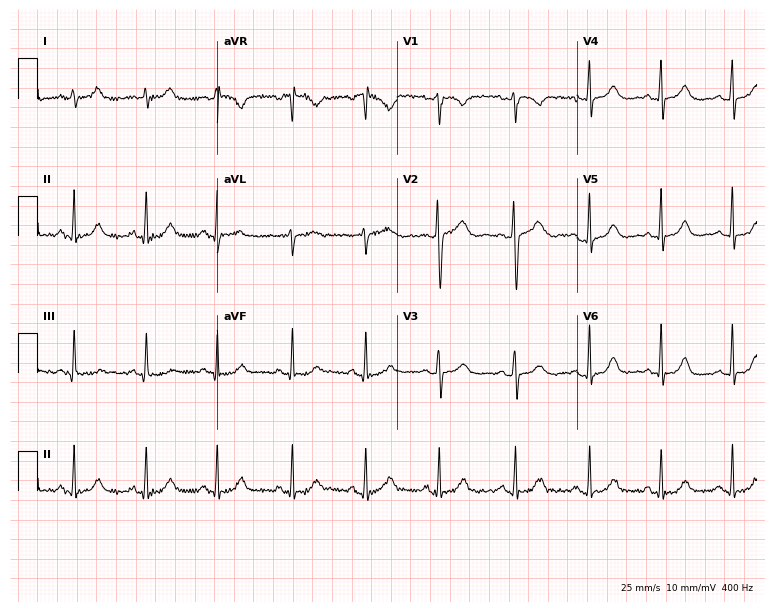
12-lead ECG from a 41-year-old female. No first-degree AV block, right bundle branch block (RBBB), left bundle branch block (LBBB), sinus bradycardia, atrial fibrillation (AF) or sinus tachycardia recorded for this tracing.